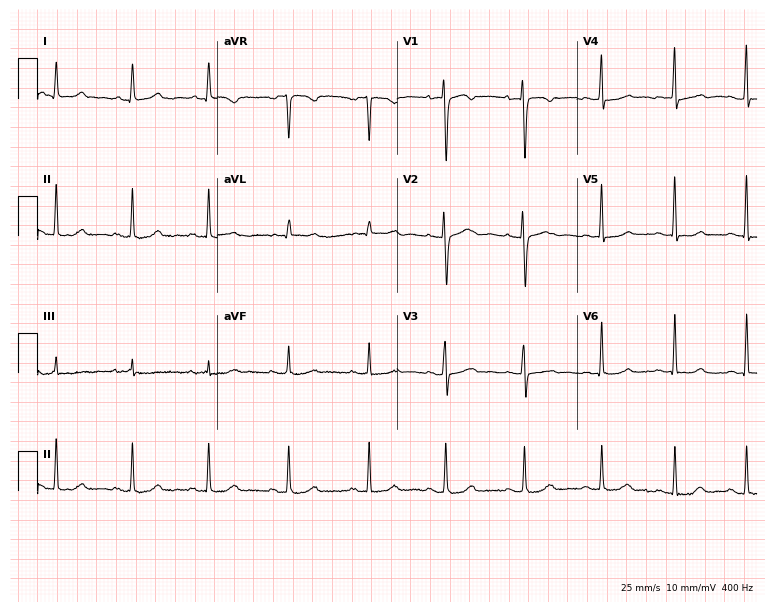
Resting 12-lead electrocardiogram (7.3-second recording at 400 Hz). Patient: a woman, 33 years old. Read as a normal ECG.